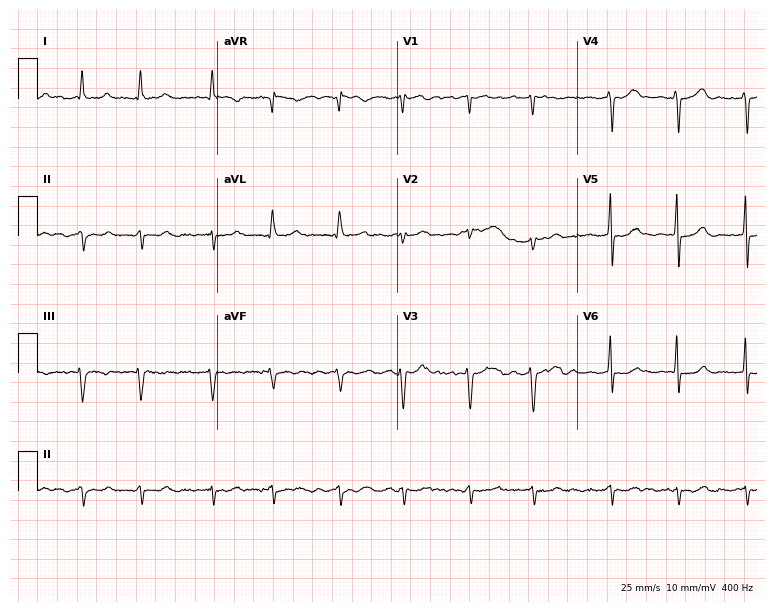
12-lead ECG from a 76-year-old female. Shows atrial fibrillation.